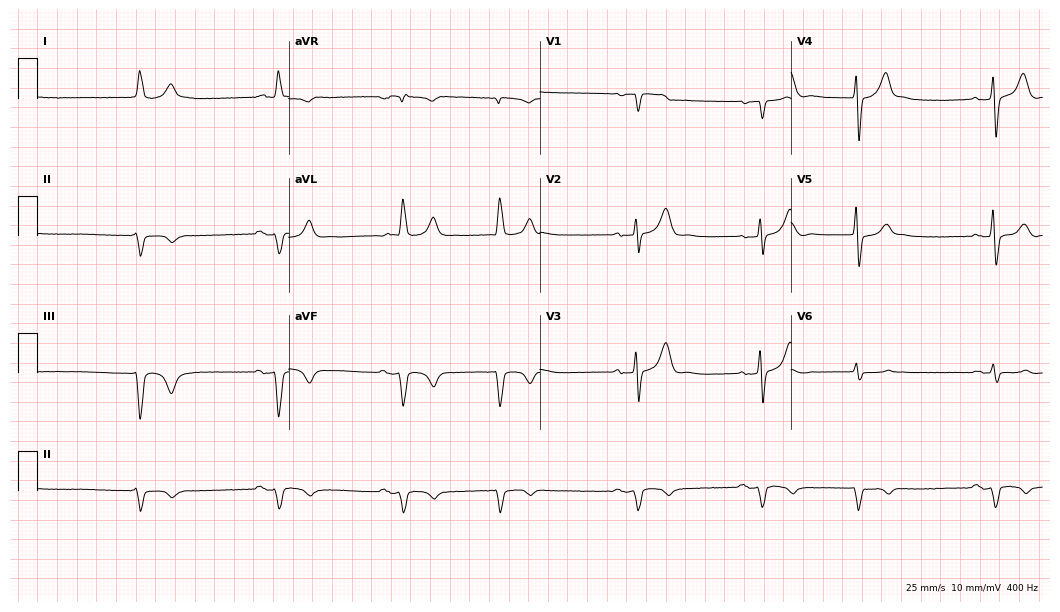
ECG (10.2-second recording at 400 Hz) — a male patient, 81 years old. Screened for six findings — first-degree AV block, right bundle branch block, left bundle branch block, sinus bradycardia, atrial fibrillation, sinus tachycardia — none is recorded.